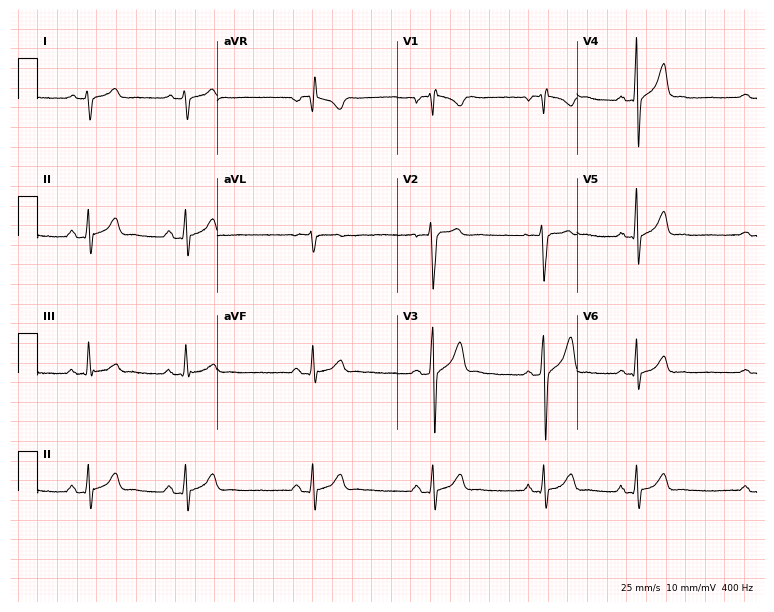
12-lead ECG from a 17-year-old man. Recorded interpretation: within normal limits.